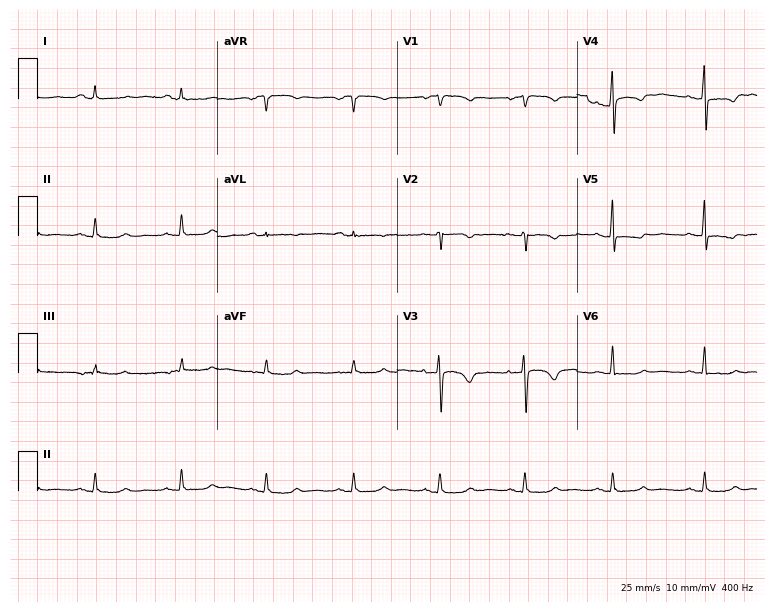
Standard 12-lead ECG recorded from a 52-year-old female (7.3-second recording at 400 Hz). None of these six findings is recorded: first-degree AV block, right bundle branch block (RBBB), left bundle branch block (LBBB), sinus bradycardia, atrial fibrillation (AF), sinus tachycardia.